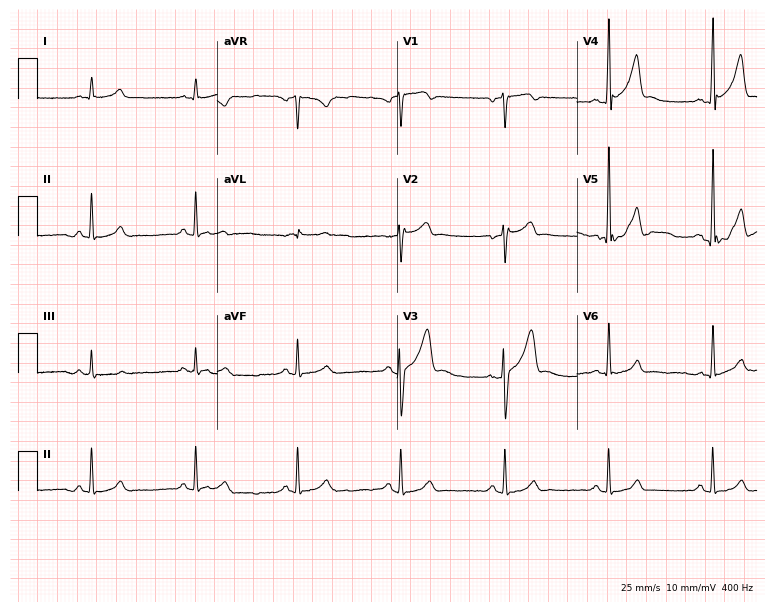
ECG (7.3-second recording at 400 Hz) — a 49-year-old male. Labelled as a normal ECG.